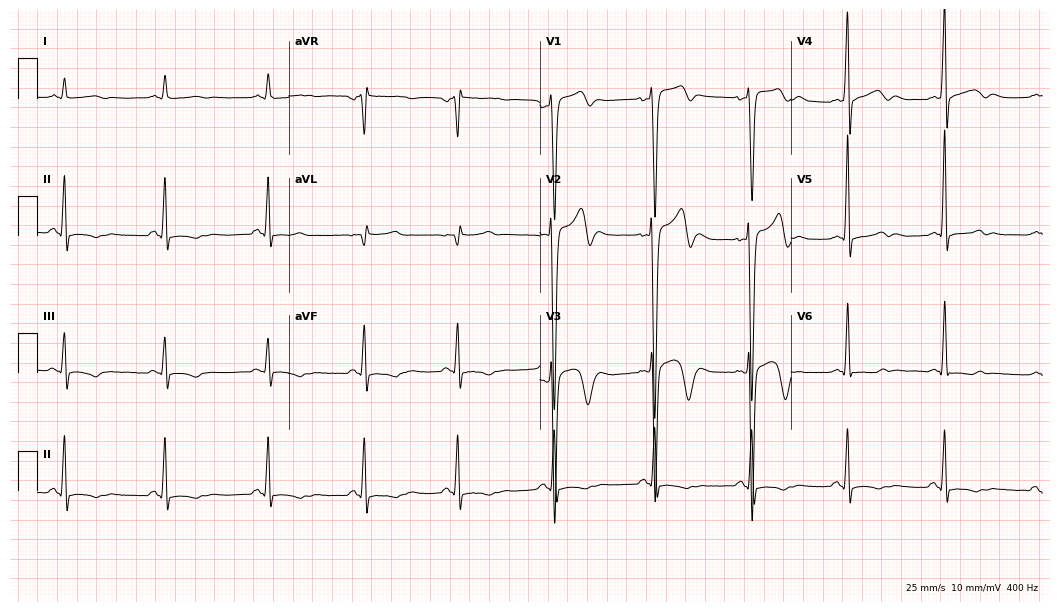
12-lead ECG from a male, 39 years old. Screened for six findings — first-degree AV block, right bundle branch block, left bundle branch block, sinus bradycardia, atrial fibrillation, sinus tachycardia — none is recorded. Other findings, if any, are not listed.